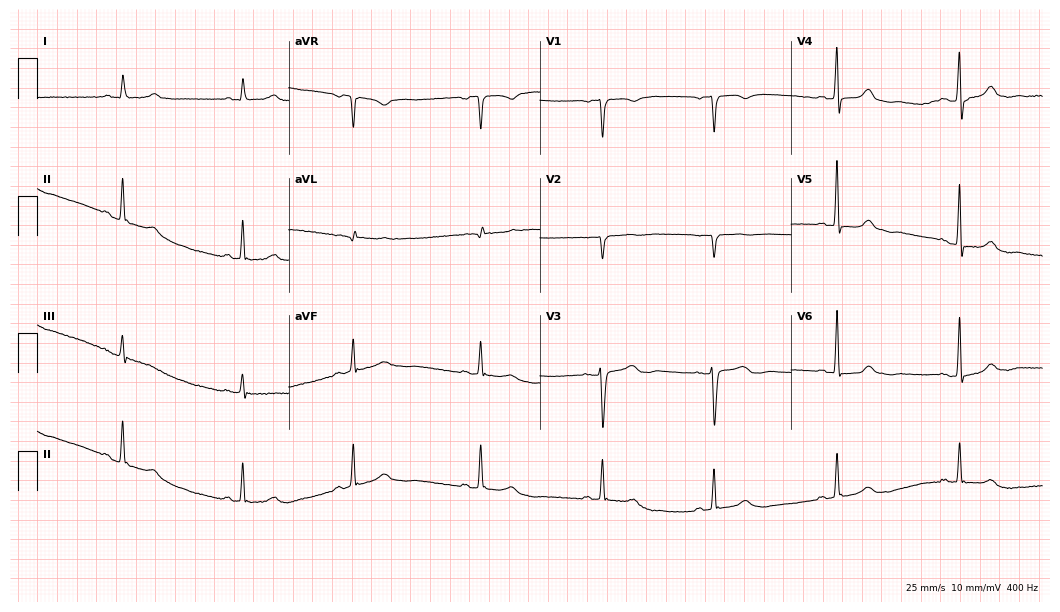
12-lead ECG from a 61-year-old woman. Recorded interpretation: within normal limits.